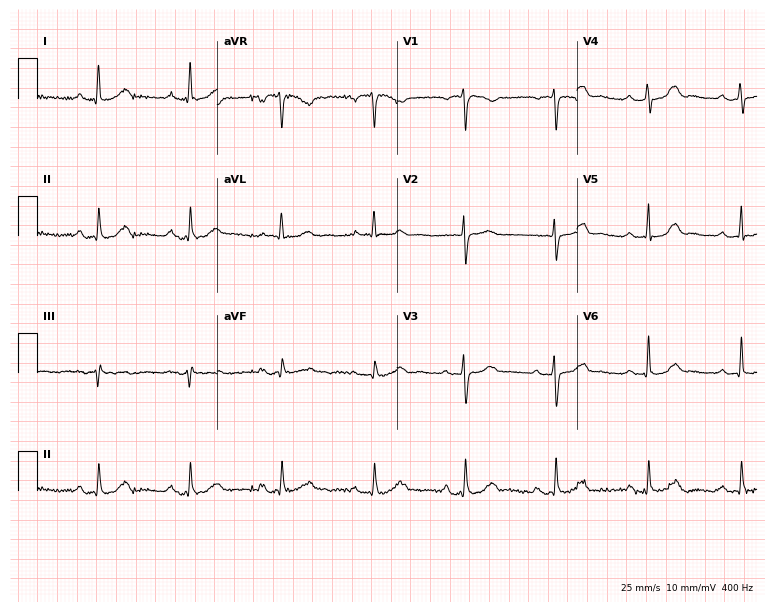
12-lead ECG from a 72-year-old woman (7.3-second recording at 400 Hz). Recorded interpretation: within normal limits.